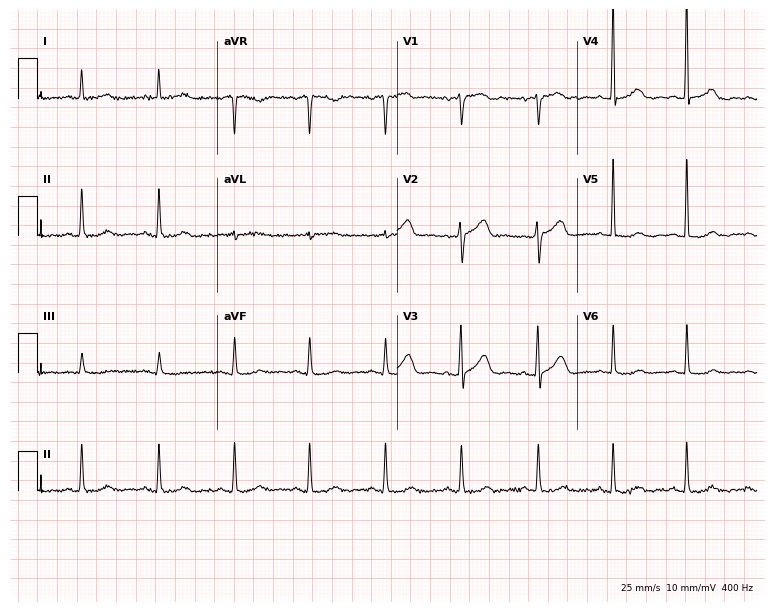
ECG — a female, 59 years old. Labelled as a normal ECG.